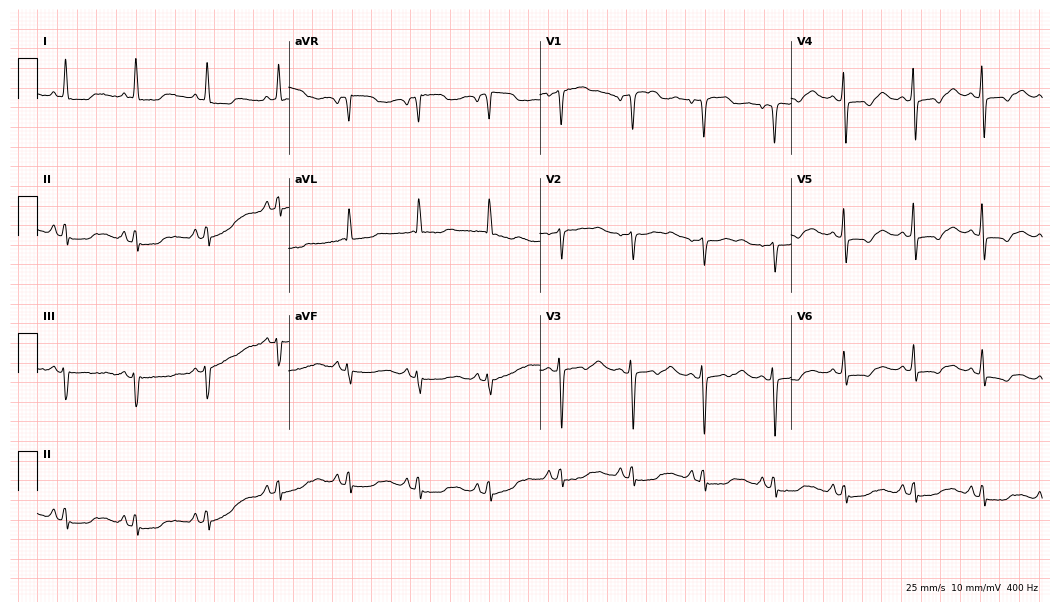
12-lead ECG (10.2-second recording at 400 Hz) from a female, 51 years old. Screened for six findings — first-degree AV block, right bundle branch block, left bundle branch block, sinus bradycardia, atrial fibrillation, sinus tachycardia — none is recorded. Findings outside these six are not listed.